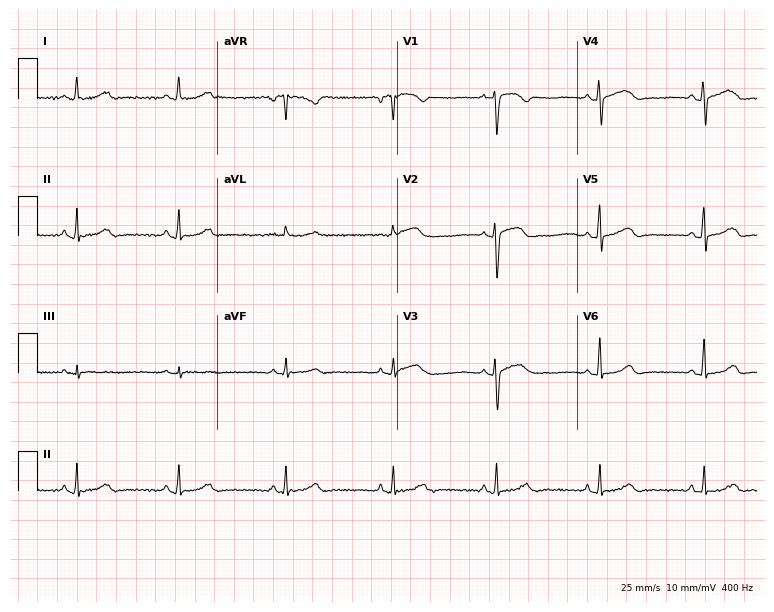
12-lead ECG from a woman, 54 years old. Labelled as a normal ECG.